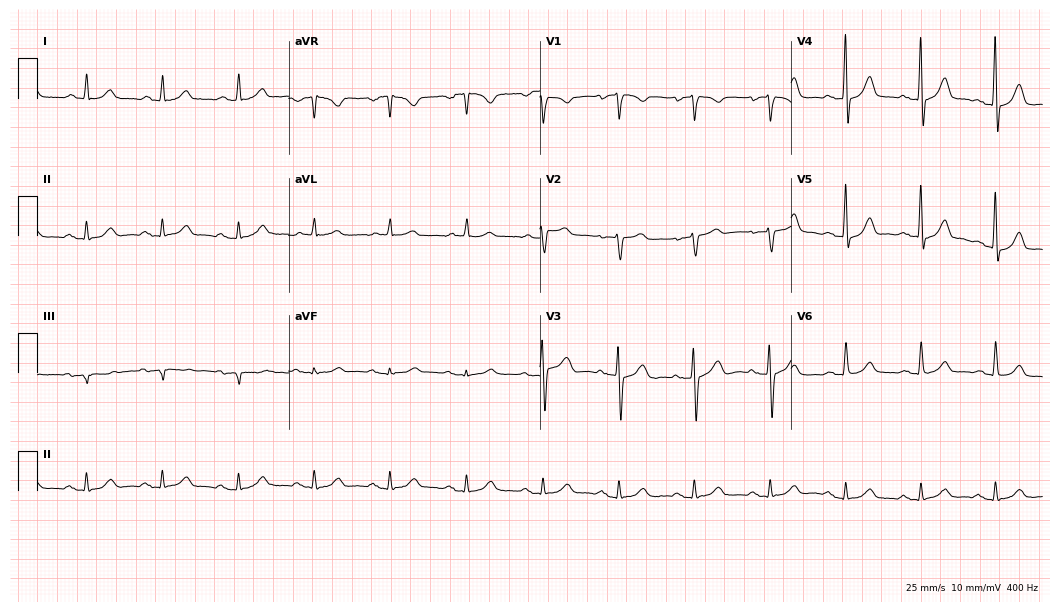
Resting 12-lead electrocardiogram. Patient: a 72-year-old female. None of these six findings is recorded: first-degree AV block, right bundle branch block (RBBB), left bundle branch block (LBBB), sinus bradycardia, atrial fibrillation (AF), sinus tachycardia.